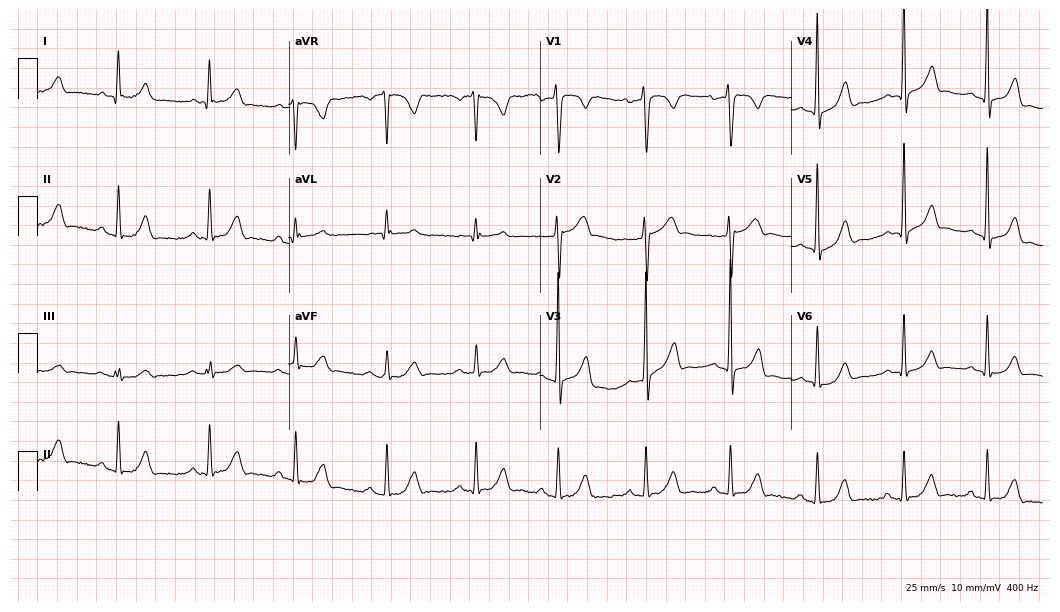
Standard 12-lead ECG recorded from a man, 19 years old. Read as a normal ECG.